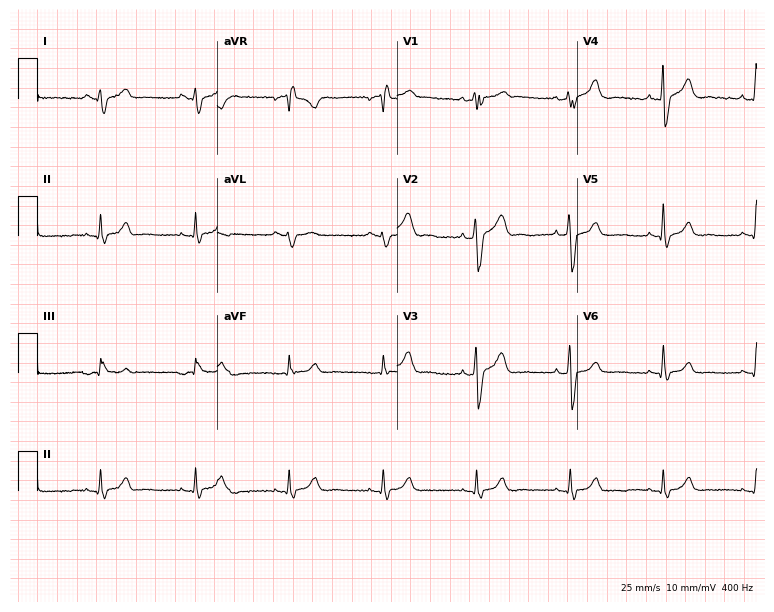
Standard 12-lead ECG recorded from a male, 41 years old. None of these six findings is recorded: first-degree AV block, right bundle branch block, left bundle branch block, sinus bradycardia, atrial fibrillation, sinus tachycardia.